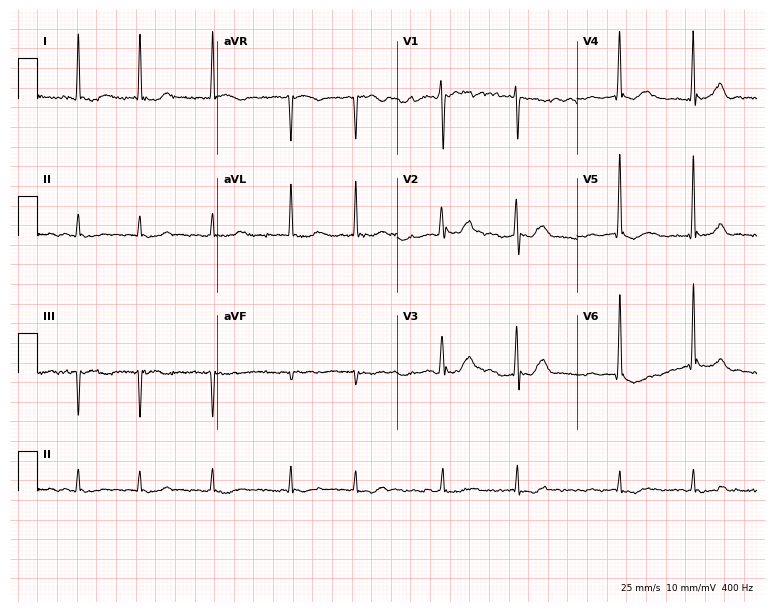
Electrocardiogram, a 71-year-old man. Interpretation includes atrial fibrillation (AF).